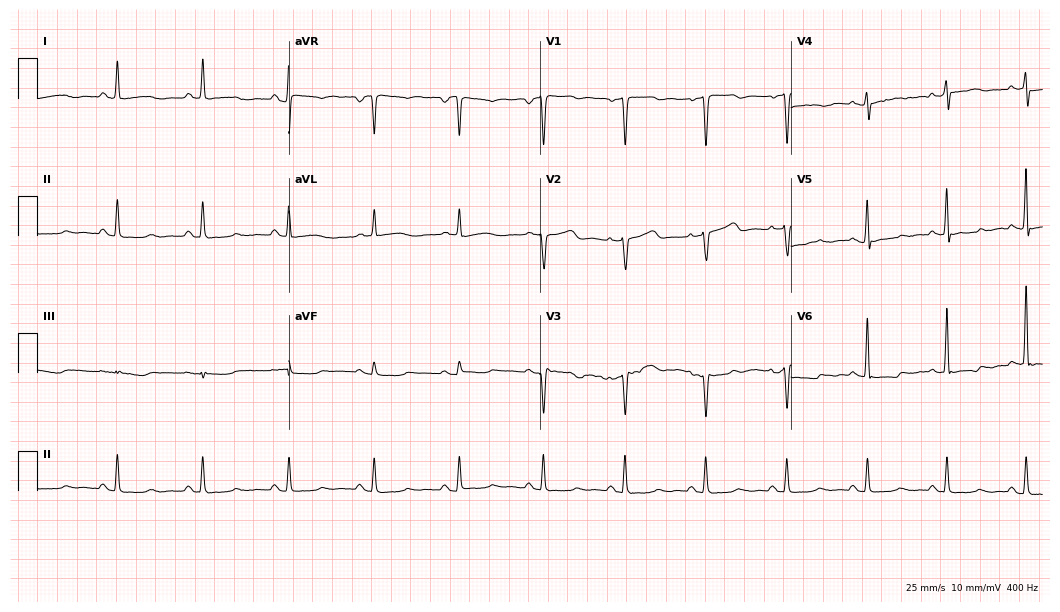
Electrocardiogram, a female, 57 years old. Of the six screened findings (first-degree AV block, right bundle branch block, left bundle branch block, sinus bradycardia, atrial fibrillation, sinus tachycardia), none is recorded. Other findings, if any, are not listed.